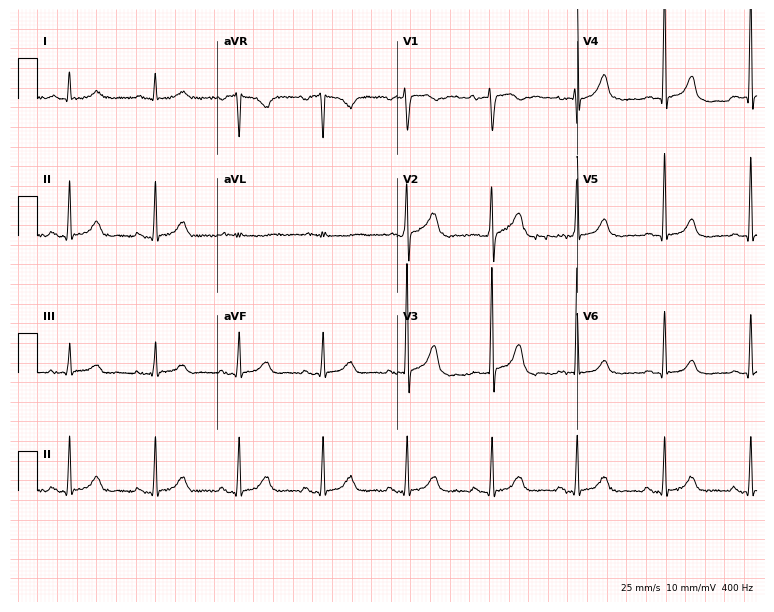
12-lead ECG from a 58-year-old male. Labelled as a normal ECG.